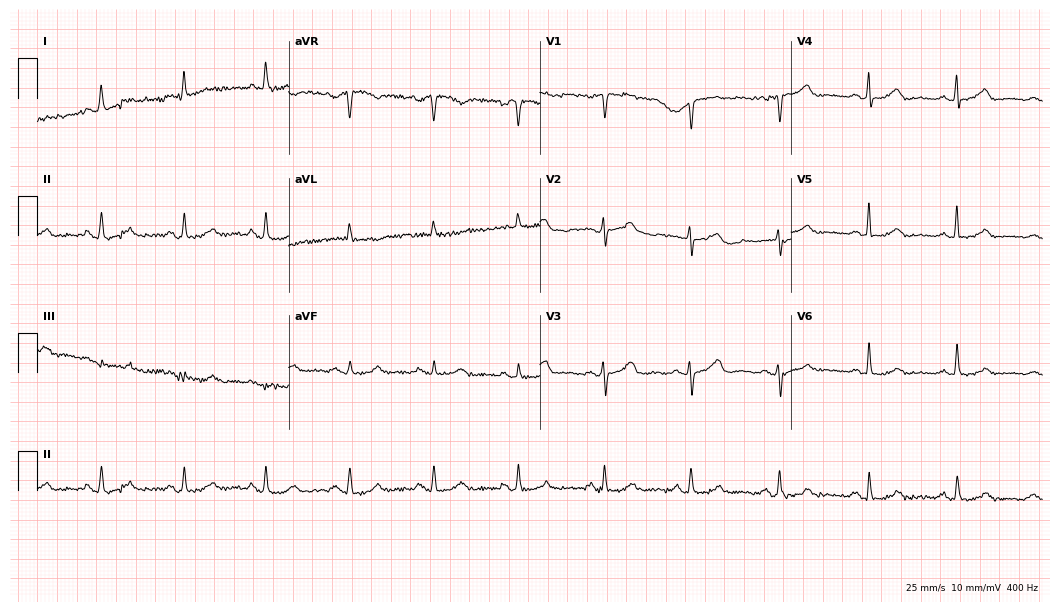
Electrocardiogram, a 66-year-old female patient. Of the six screened findings (first-degree AV block, right bundle branch block, left bundle branch block, sinus bradycardia, atrial fibrillation, sinus tachycardia), none is recorded. Findings outside these six are not listed.